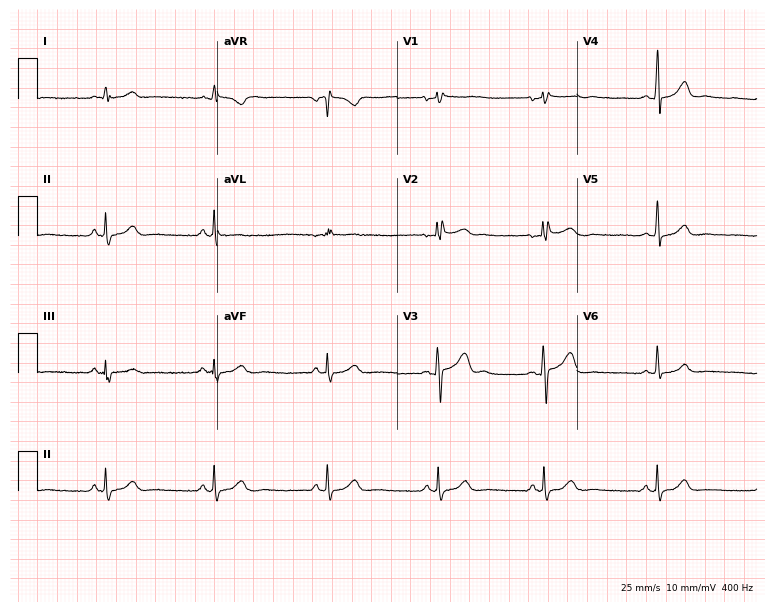
ECG (7.3-second recording at 400 Hz) — a 39-year-old male patient. Labelled as a normal ECG.